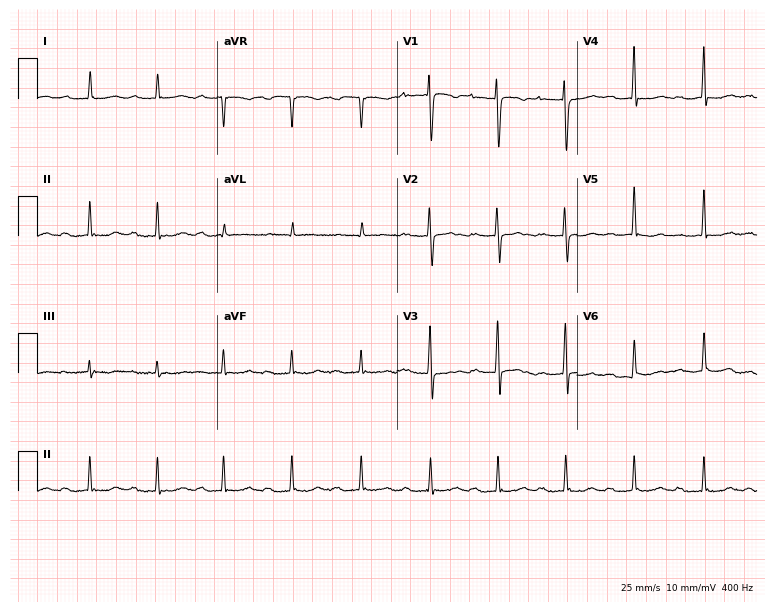
Electrocardiogram (7.3-second recording at 400 Hz), a 46-year-old woman. Interpretation includes first-degree AV block.